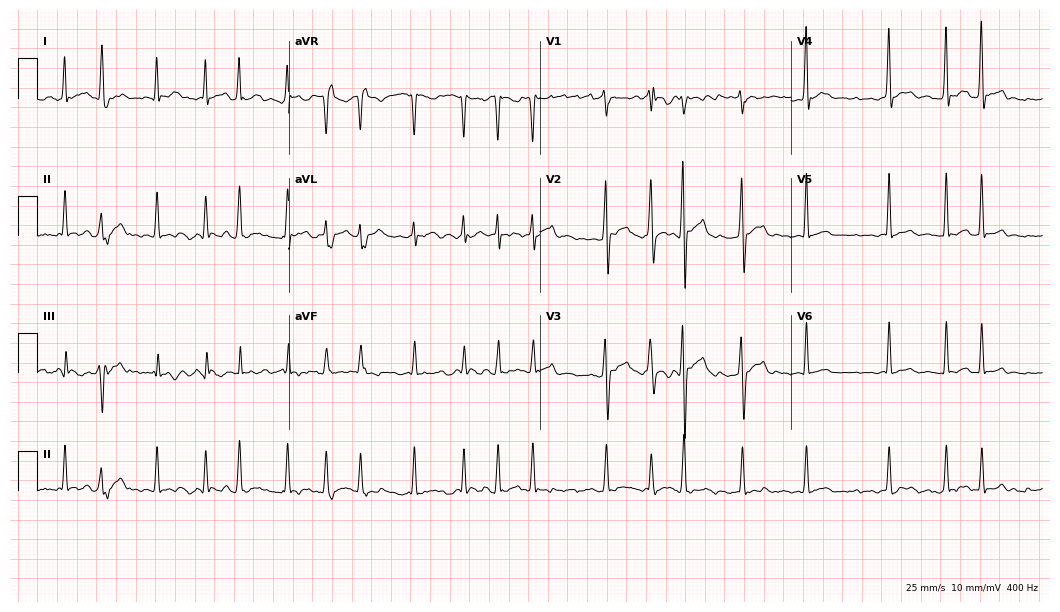
12-lead ECG from a male patient, 28 years old. Shows atrial fibrillation (AF).